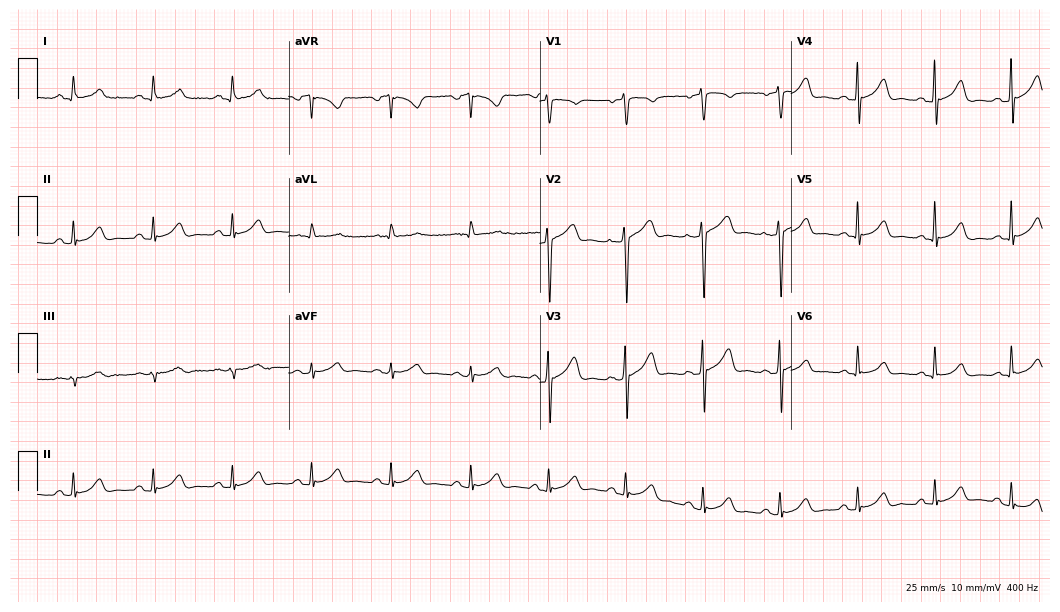
12-lead ECG (10.2-second recording at 400 Hz) from a 54-year-old female. Labelled as a normal ECG.